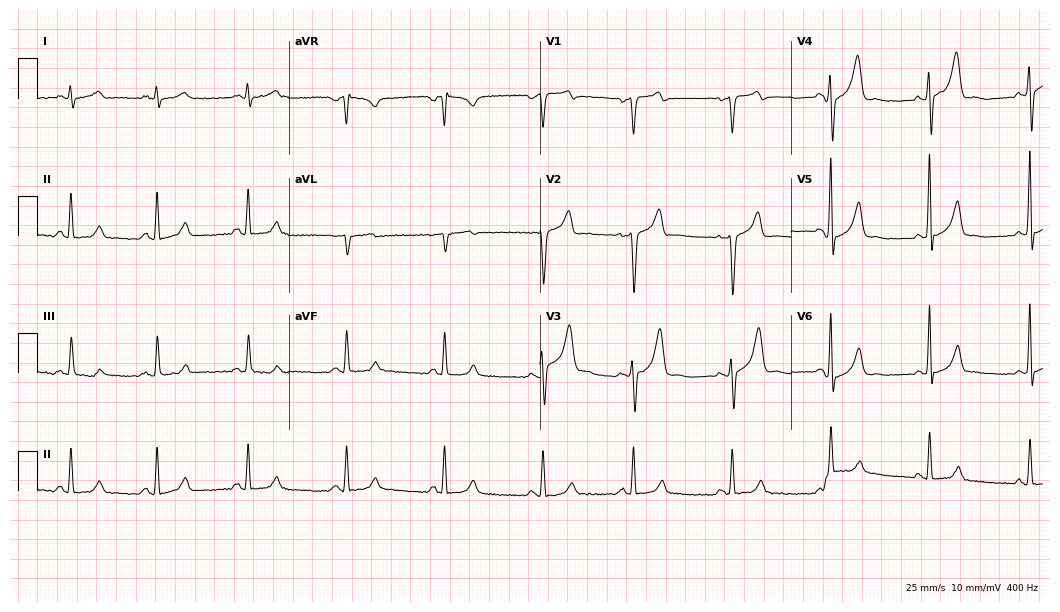
12-lead ECG from a man, 58 years old (10.2-second recording at 400 Hz). Recorded interpretation: within normal limits.